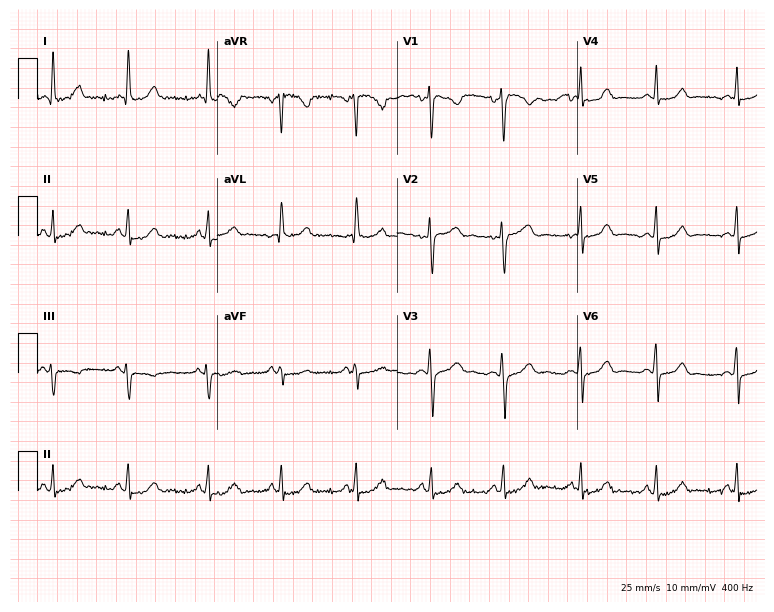
12-lead ECG from a female, 29 years old (7.3-second recording at 400 Hz). Recorded interpretation: within normal limits.